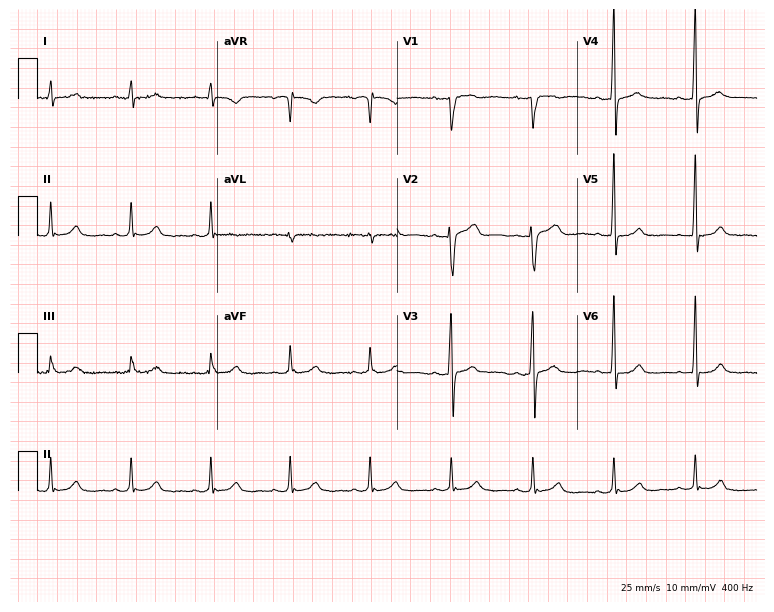
Standard 12-lead ECG recorded from a 52-year-old man (7.3-second recording at 400 Hz). None of these six findings is recorded: first-degree AV block, right bundle branch block, left bundle branch block, sinus bradycardia, atrial fibrillation, sinus tachycardia.